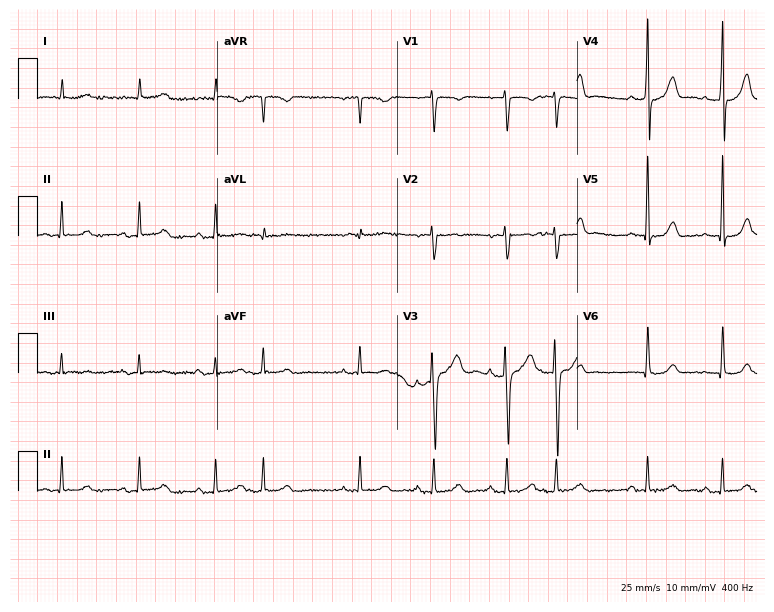
Resting 12-lead electrocardiogram (7.3-second recording at 400 Hz). Patient: a man, 83 years old. None of these six findings is recorded: first-degree AV block, right bundle branch block (RBBB), left bundle branch block (LBBB), sinus bradycardia, atrial fibrillation (AF), sinus tachycardia. Only these six findings were labelled.